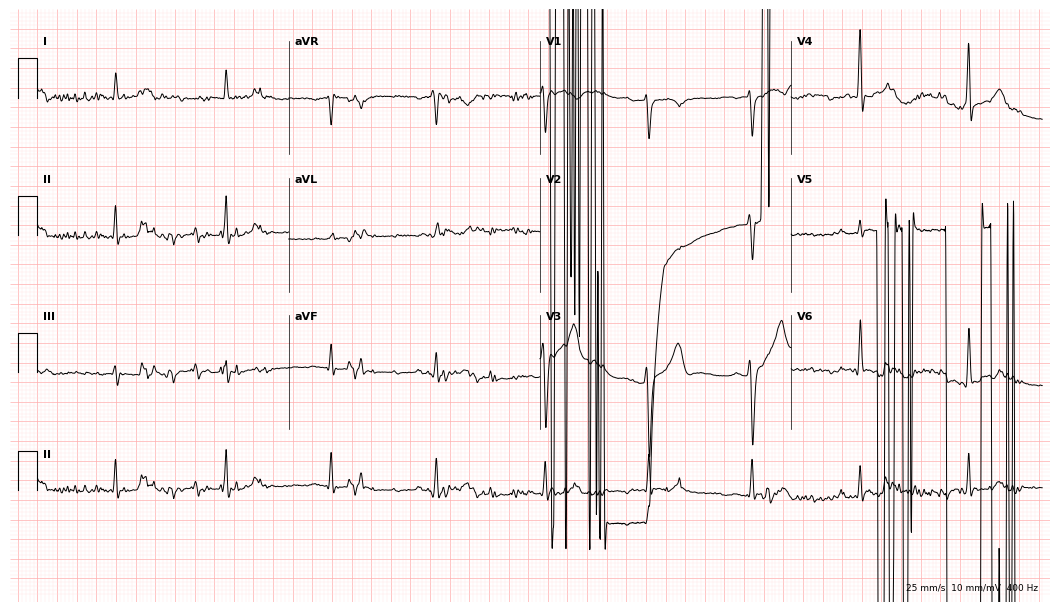
Electrocardiogram, a 65-year-old male patient. Of the six screened findings (first-degree AV block, right bundle branch block (RBBB), left bundle branch block (LBBB), sinus bradycardia, atrial fibrillation (AF), sinus tachycardia), none is recorded. Other findings, if any, are not listed.